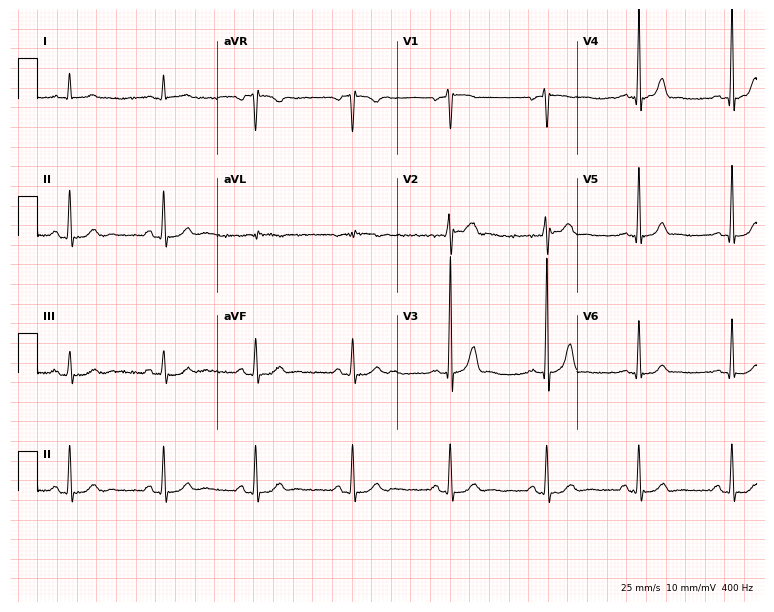
ECG — a 37-year-old man. Labelled as a normal ECG.